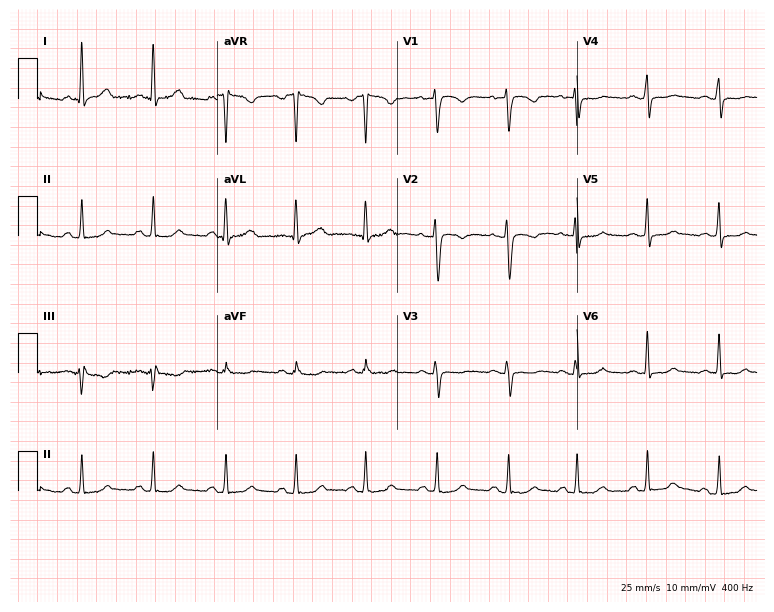
ECG (7.3-second recording at 400 Hz) — a 24-year-old woman. Labelled as a normal ECG.